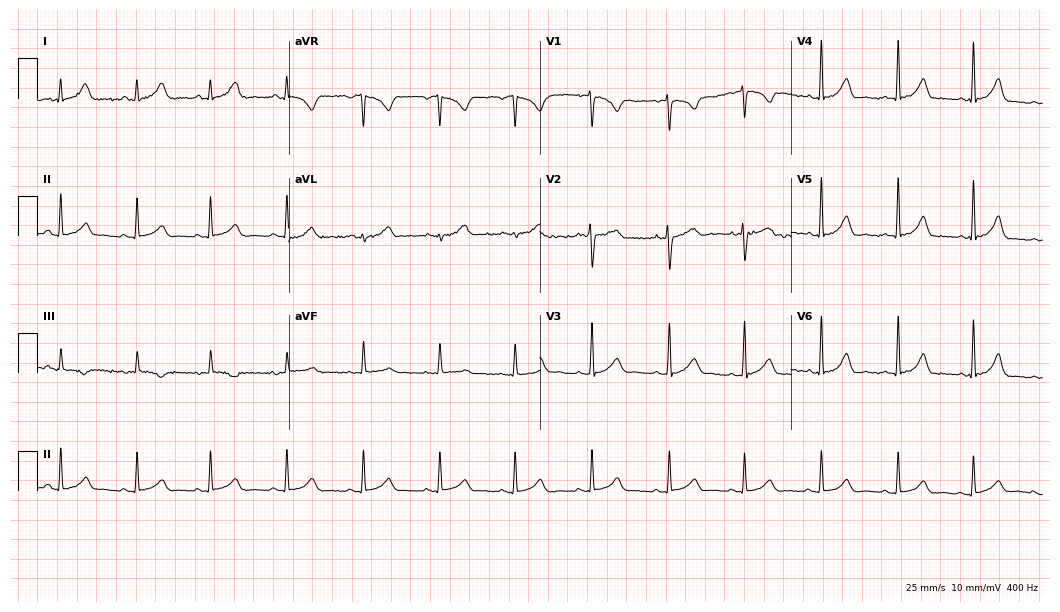
12-lead ECG from a woman, 25 years old (10.2-second recording at 400 Hz). Recorded interpretation: within normal limits.